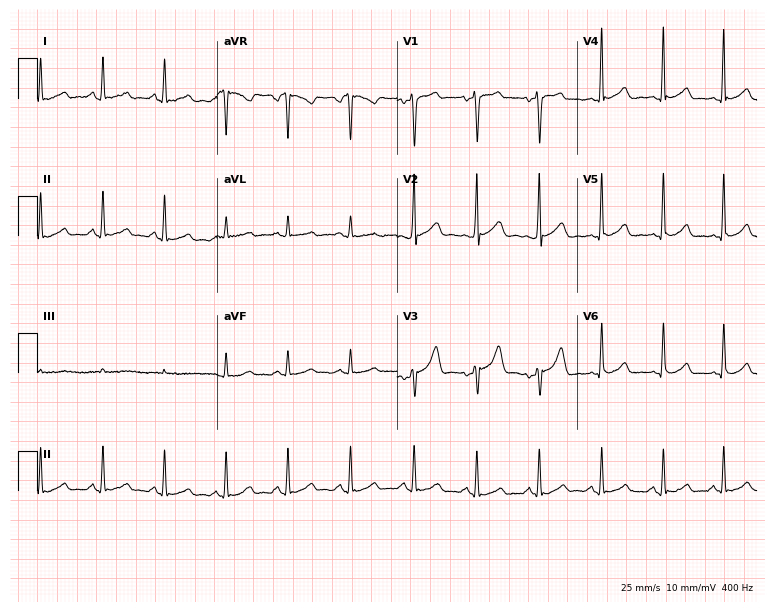
Standard 12-lead ECG recorded from a 36-year-old woman. Read as a normal ECG.